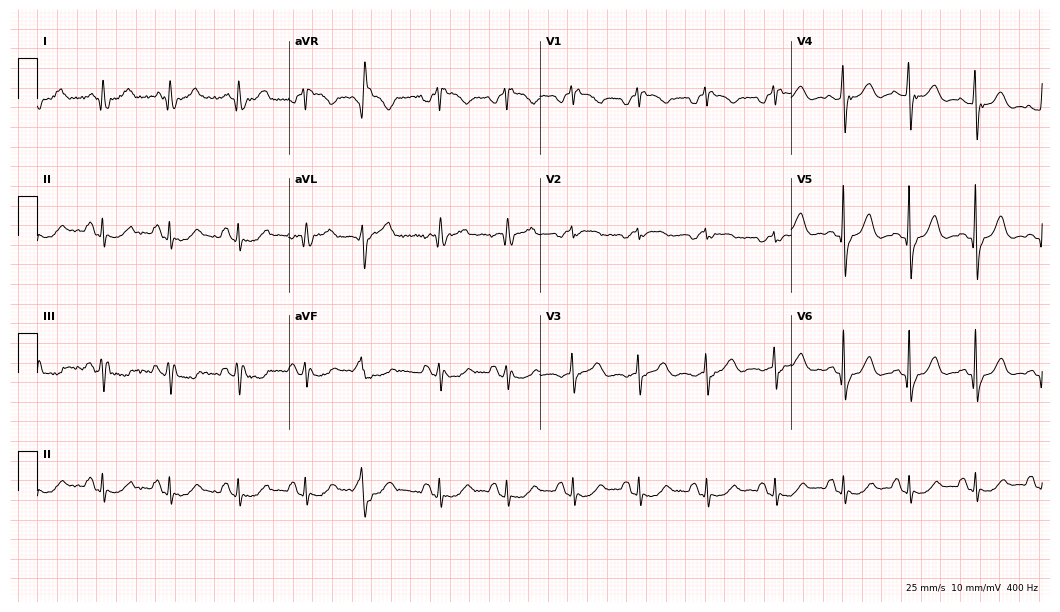
Standard 12-lead ECG recorded from a woman, 76 years old. None of these six findings is recorded: first-degree AV block, right bundle branch block, left bundle branch block, sinus bradycardia, atrial fibrillation, sinus tachycardia. Only these six findings were labelled.